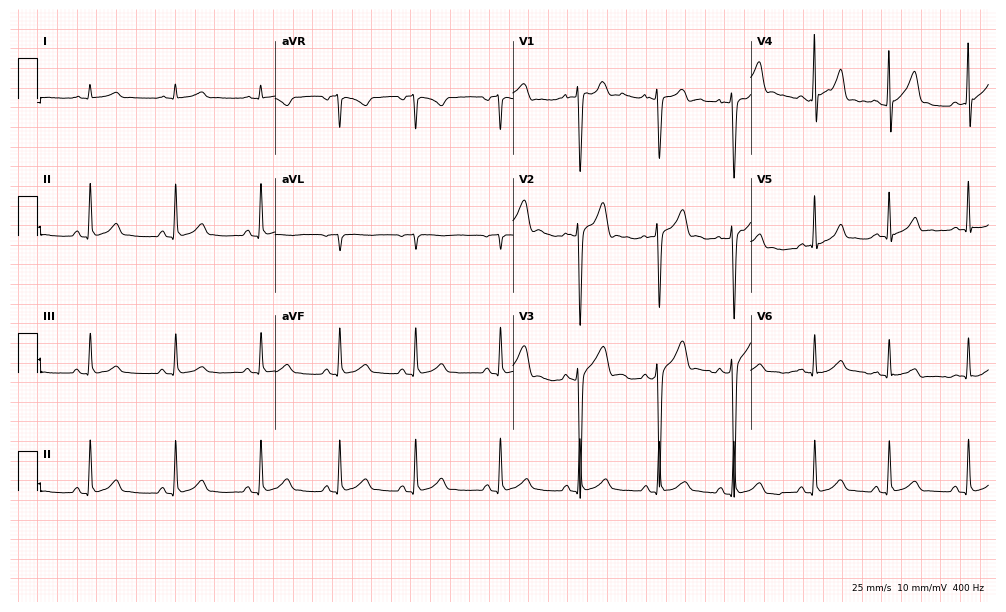
Electrocardiogram, a male, 17 years old. Overall reading on record: normal ECG.